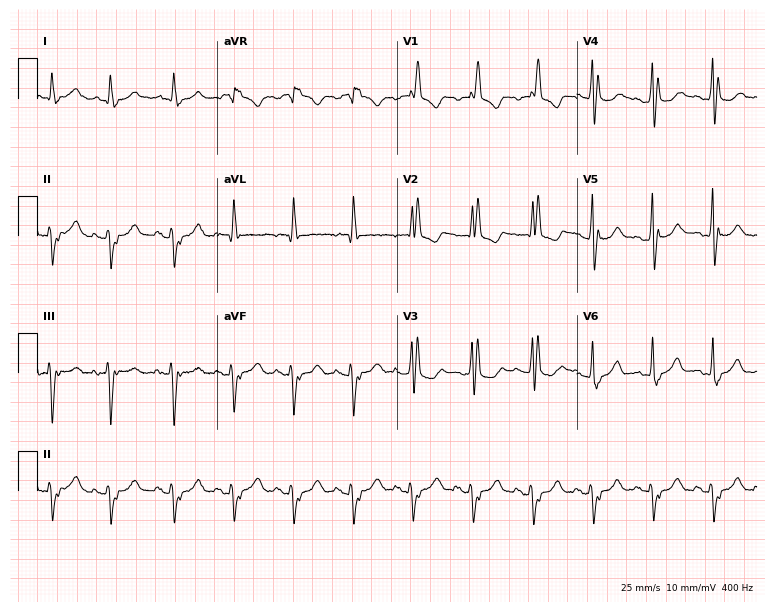
Standard 12-lead ECG recorded from a male, 74 years old (7.3-second recording at 400 Hz). The tracing shows right bundle branch block.